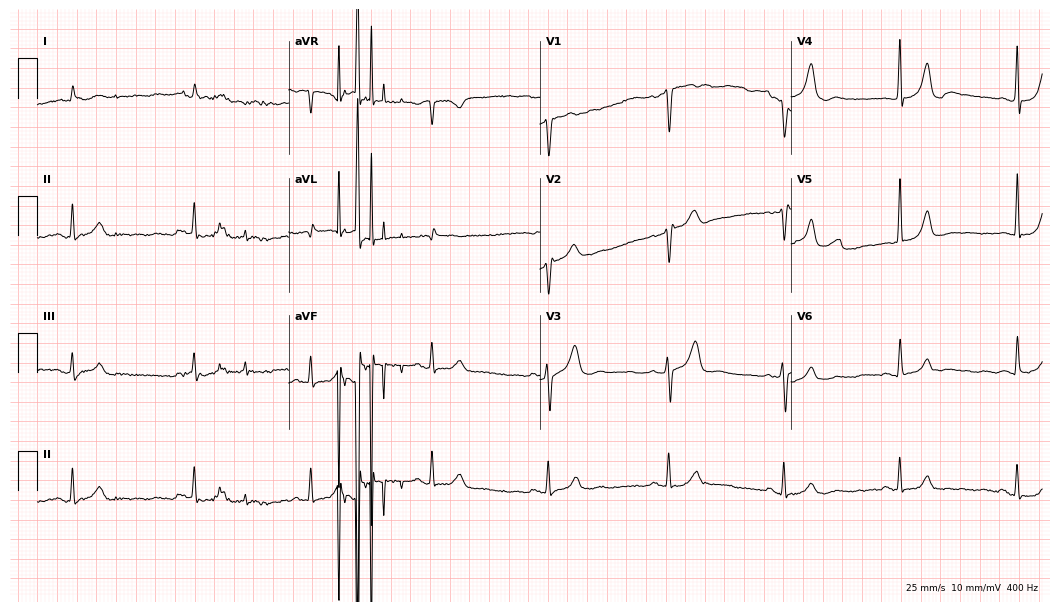
12-lead ECG from a 72-year-old male. Screened for six findings — first-degree AV block, right bundle branch block, left bundle branch block, sinus bradycardia, atrial fibrillation, sinus tachycardia — none is recorded.